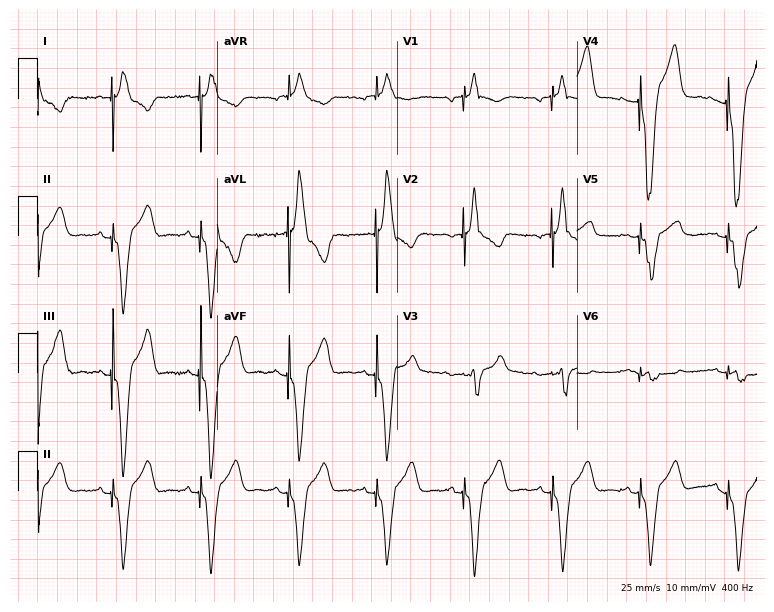
Resting 12-lead electrocardiogram (7.3-second recording at 400 Hz). Patient: a male, 81 years old. None of these six findings is recorded: first-degree AV block, right bundle branch block, left bundle branch block, sinus bradycardia, atrial fibrillation, sinus tachycardia.